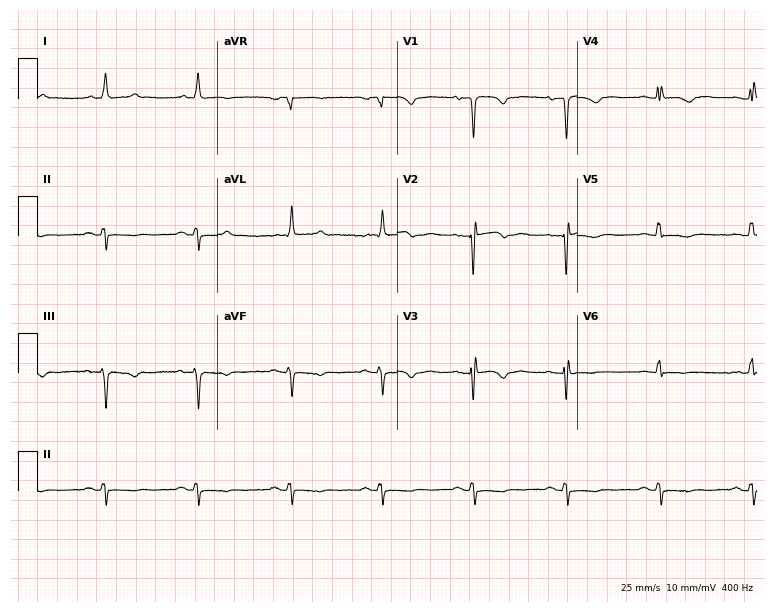
ECG — a 70-year-old male. Screened for six findings — first-degree AV block, right bundle branch block, left bundle branch block, sinus bradycardia, atrial fibrillation, sinus tachycardia — none is recorded. Findings outside these six are not listed.